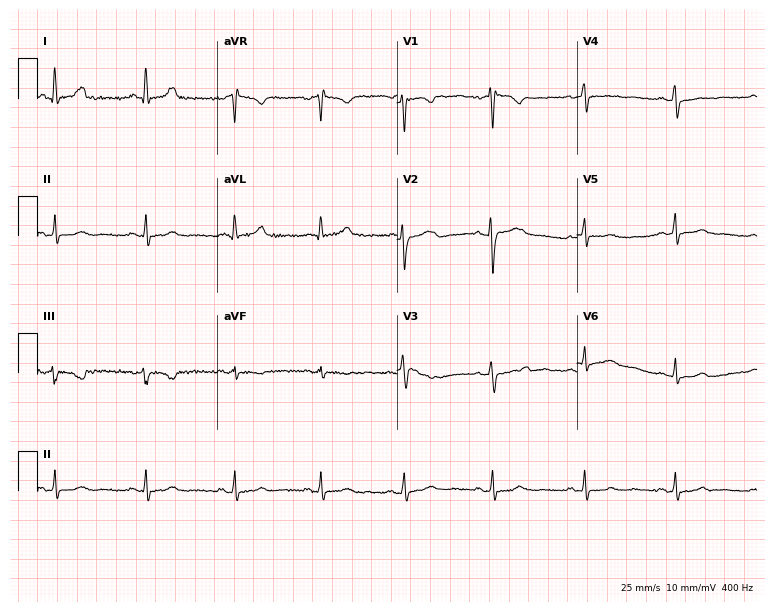
Electrocardiogram, a woman, 37 years old. Of the six screened findings (first-degree AV block, right bundle branch block, left bundle branch block, sinus bradycardia, atrial fibrillation, sinus tachycardia), none is recorded. Other findings, if any, are not listed.